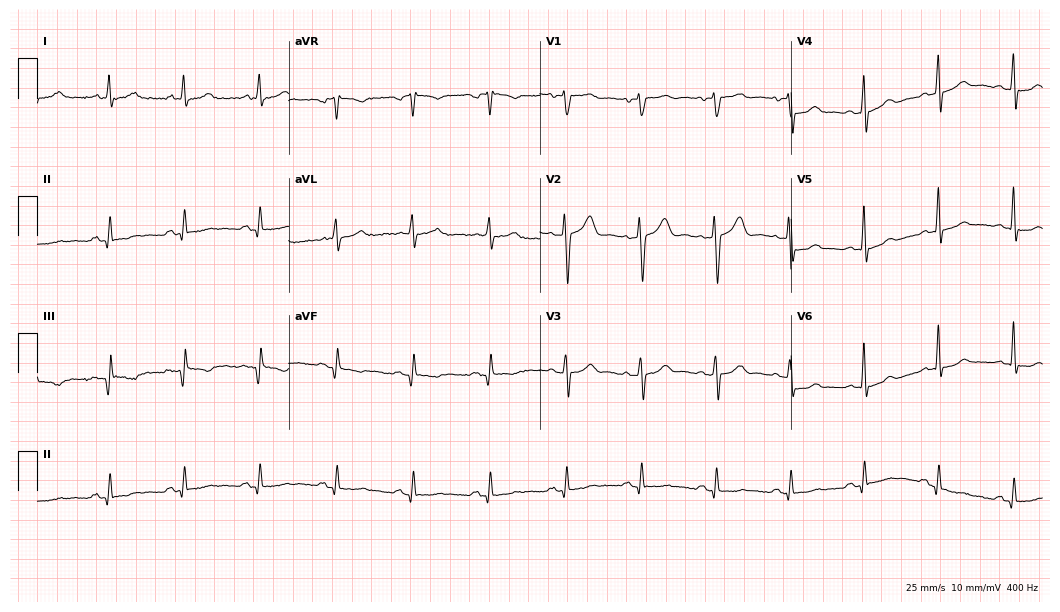
12-lead ECG from a 41-year-old male. Screened for six findings — first-degree AV block, right bundle branch block, left bundle branch block, sinus bradycardia, atrial fibrillation, sinus tachycardia — none is recorded. Findings outside these six are not listed.